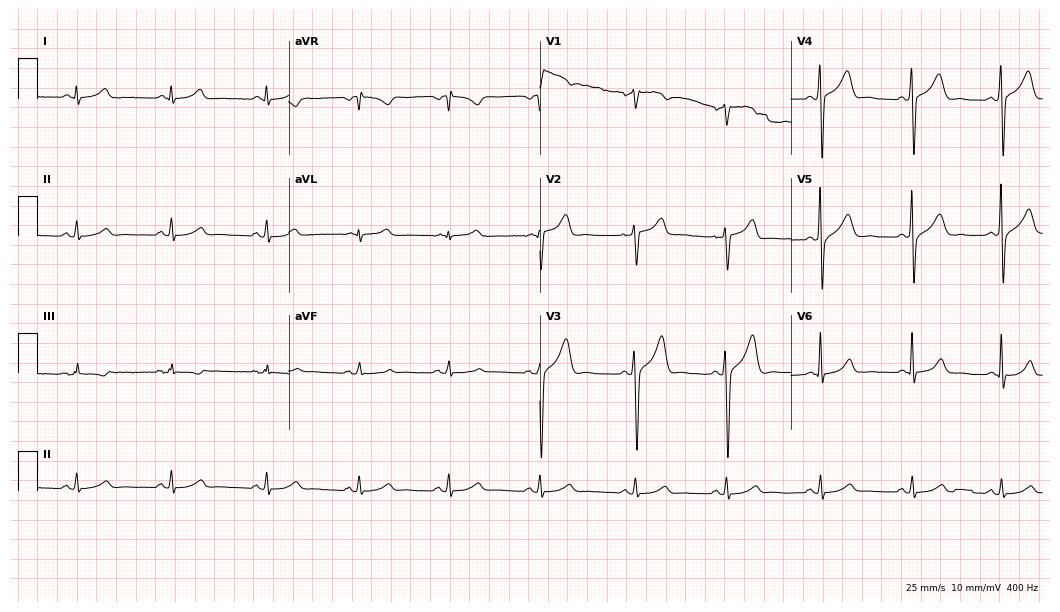
12-lead ECG from a 49-year-old male patient. Labelled as a normal ECG.